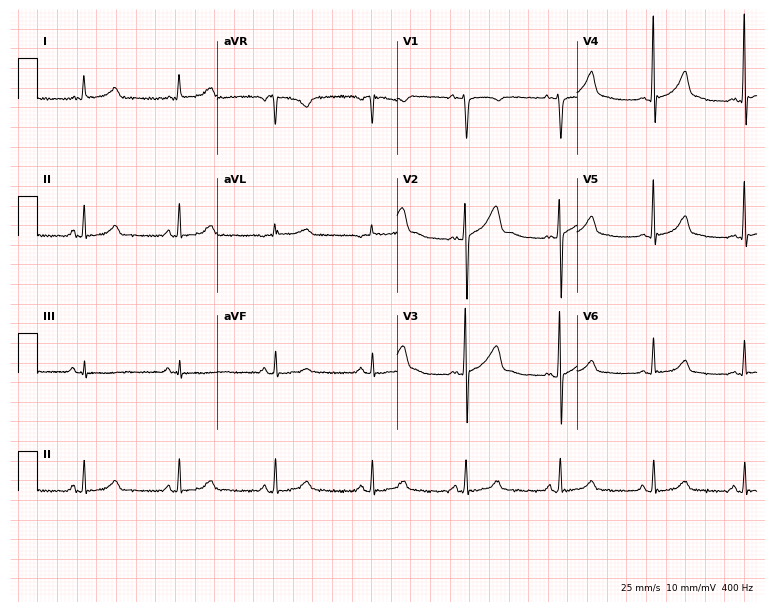
ECG — a 34-year-old female patient. Screened for six findings — first-degree AV block, right bundle branch block, left bundle branch block, sinus bradycardia, atrial fibrillation, sinus tachycardia — none is recorded.